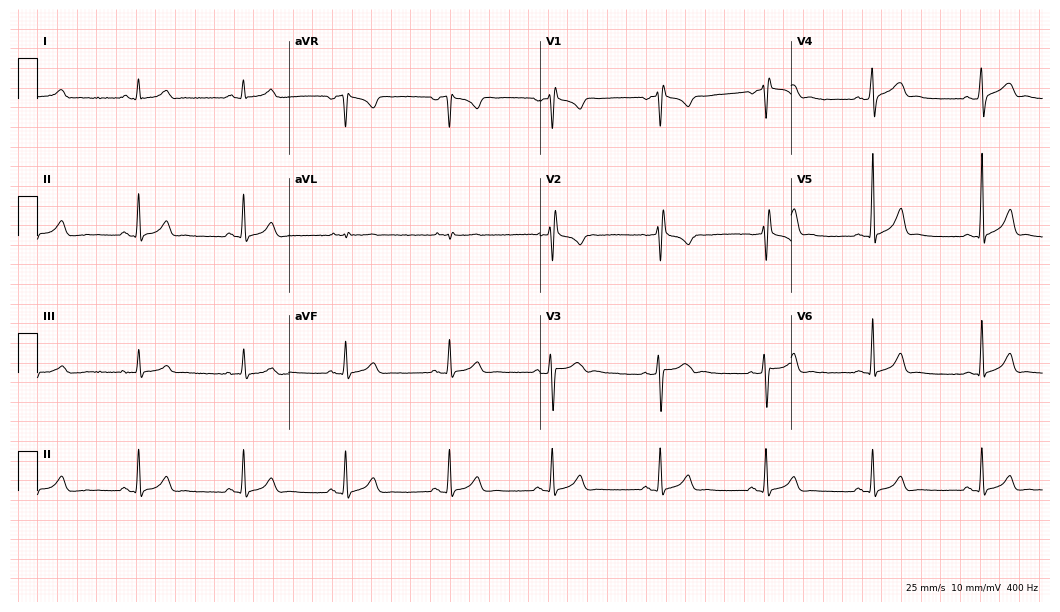
Electrocardiogram, a 30-year-old male patient. Overall reading on record: normal ECG.